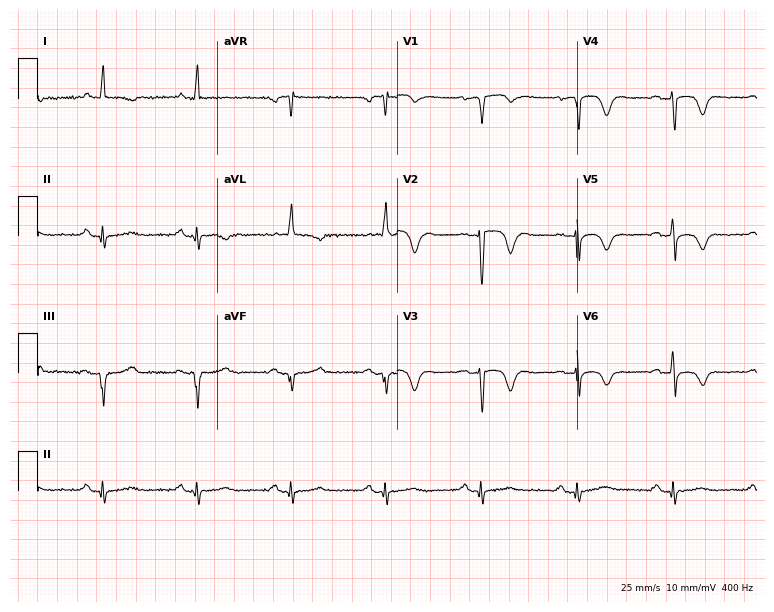
12-lead ECG from a male, 75 years old. Screened for six findings — first-degree AV block, right bundle branch block, left bundle branch block, sinus bradycardia, atrial fibrillation, sinus tachycardia — none is recorded. Only these six findings were labelled.